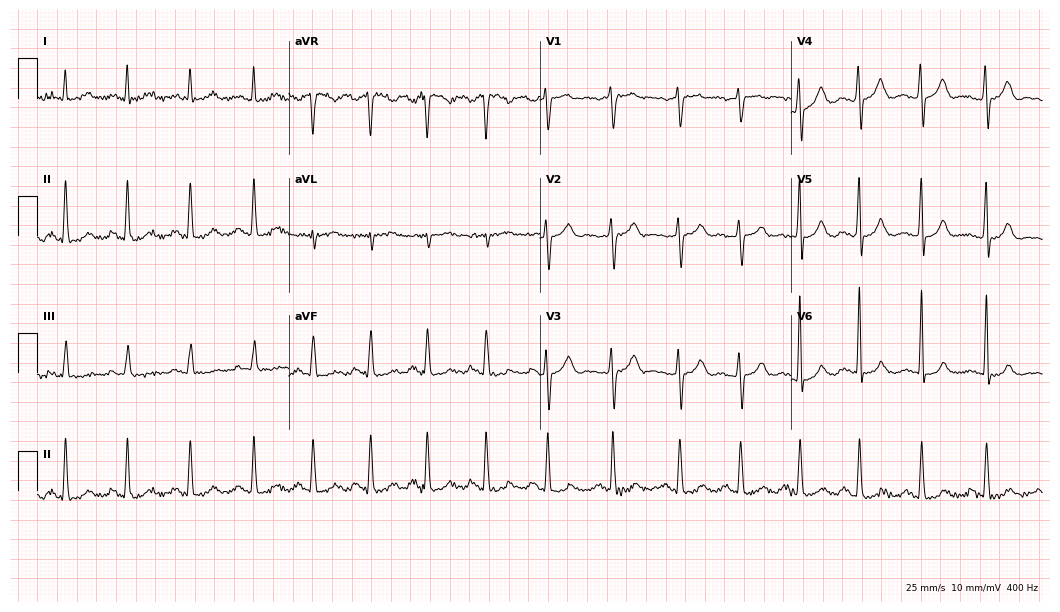
12-lead ECG (10.2-second recording at 400 Hz) from a 52-year-old woman. Labelled as a normal ECG.